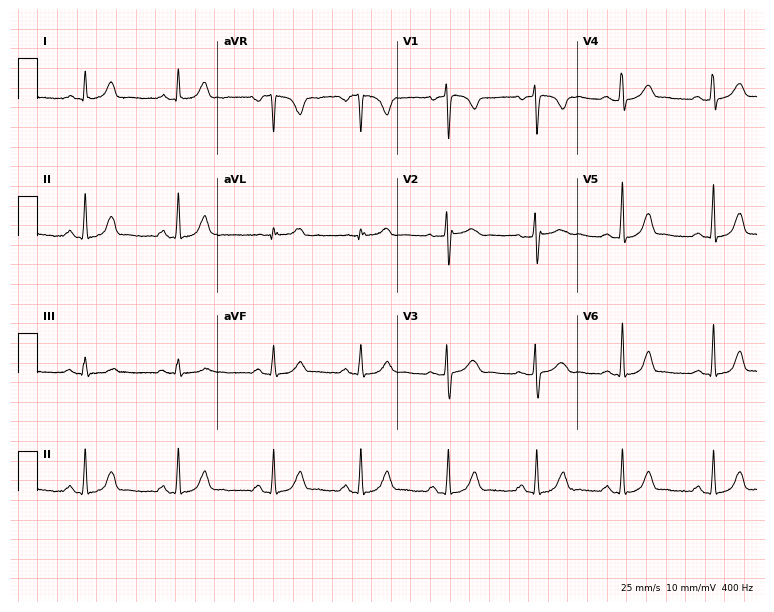
ECG — a female, 31 years old. Screened for six findings — first-degree AV block, right bundle branch block, left bundle branch block, sinus bradycardia, atrial fibrillation, sinus tachycardia — none is recorded. Other findings, if any, are not listed.